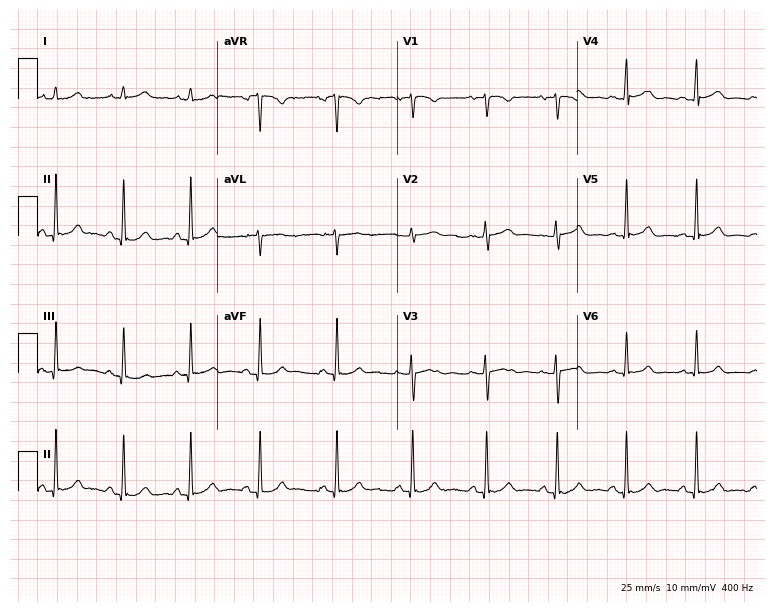
Electrocardiogram (7.3-second recording at 400 Hz), a female, 31 years old. Overall reading on record: normal ECG.